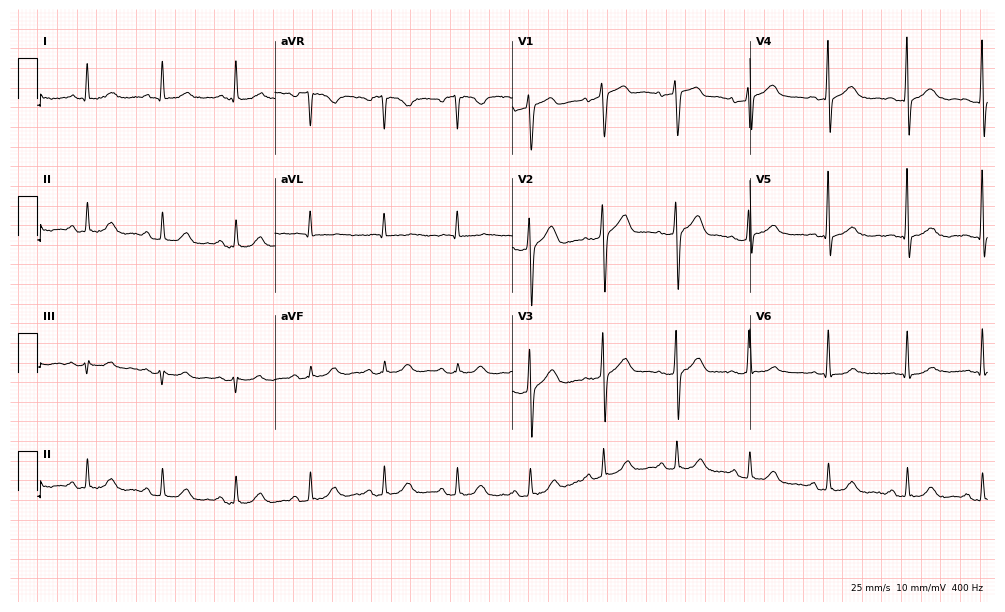
Resting 12-lead electrocardiogram (9.7-second recording at 400 Hz). Patient: a 71-year-old male. Read as a normal ECG.